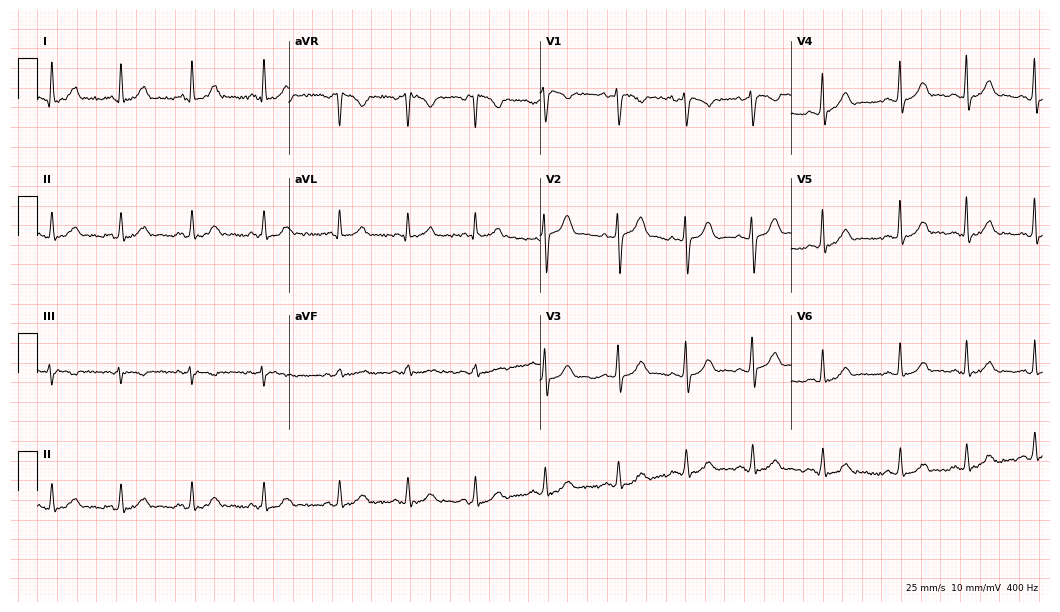
12-lead ECG from a 29-year-old female patient. Recorded interpretation: within normal limits.